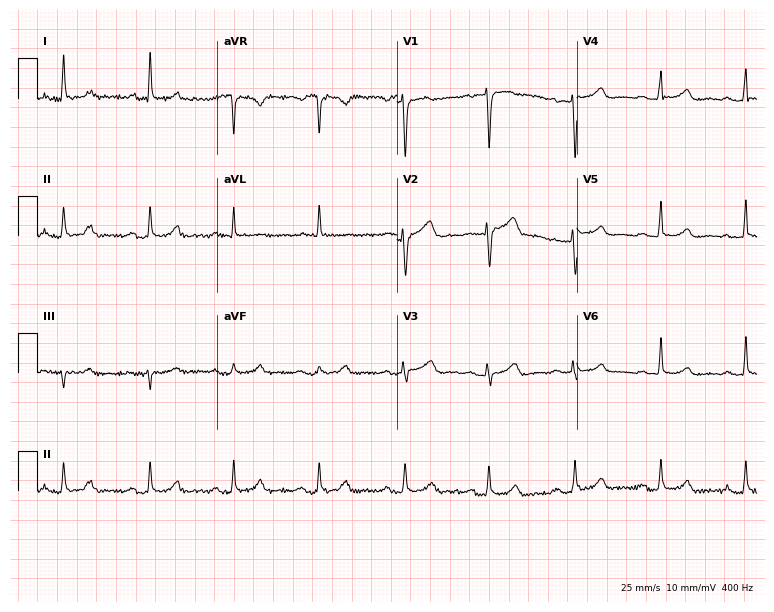
ECG — a 49-year-old female. Screened for six findings — first-degree AV block, right bundle branch block, left bundle branch block, sinus bradycardia, atrial fibrillation, sinus tachycardia — none is recorded.